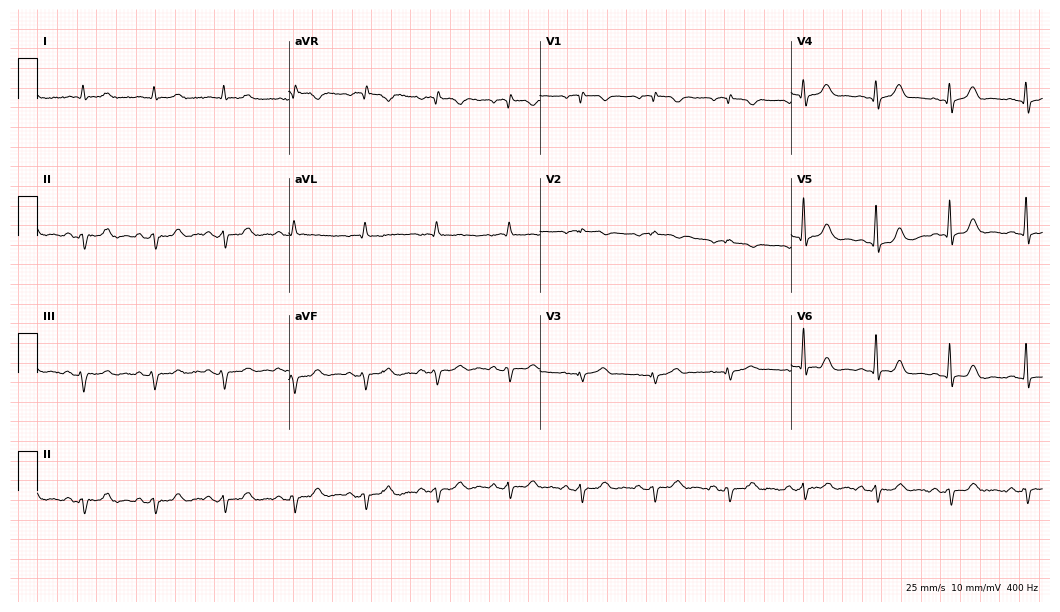
ECG (10.2-second recording at 400 Hz) — a 74-year-old male. Screened for six findings — first-degree AV block, right bundle branch block, left bundle branch block, sinus bradycardia, atrial fibrillation, sinus tachycardia — none is recorded. Only these six findings were labelled.